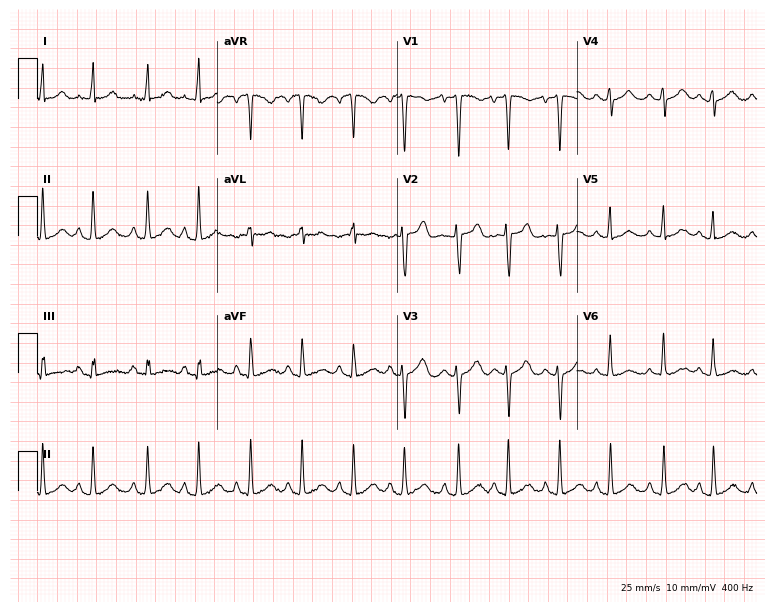
12-lead ECG from a 29-year-old woman. Findings include sinus tachycardia (a sinus rate of 100 beats per minute or more).